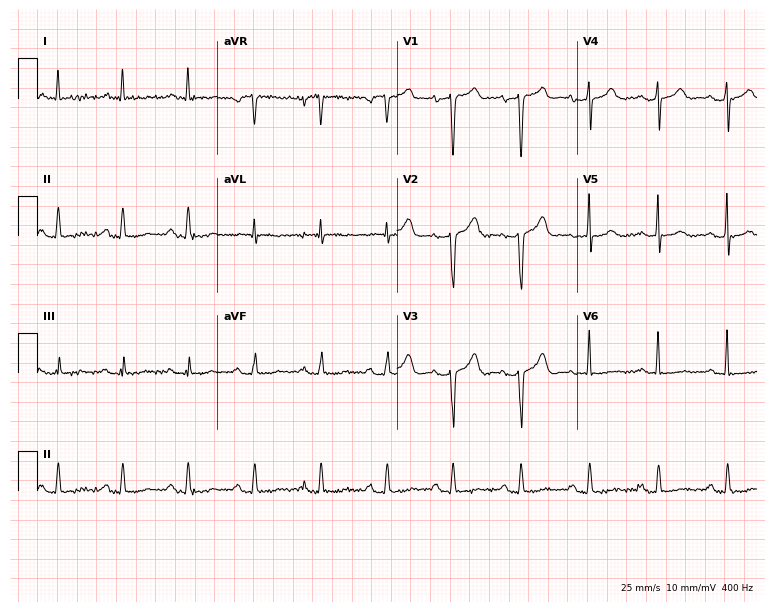
Electrocardiogram (7.3-second recording at 400 Hz), a female patient, 73 years old. Of the six screened findings (first-degree AV block, right bundle branch block, left bundle branch block, sinus bradycardia, atrial fibrillation, sinus tachycardia), none is recorded. Other findings, if any, are not listed.